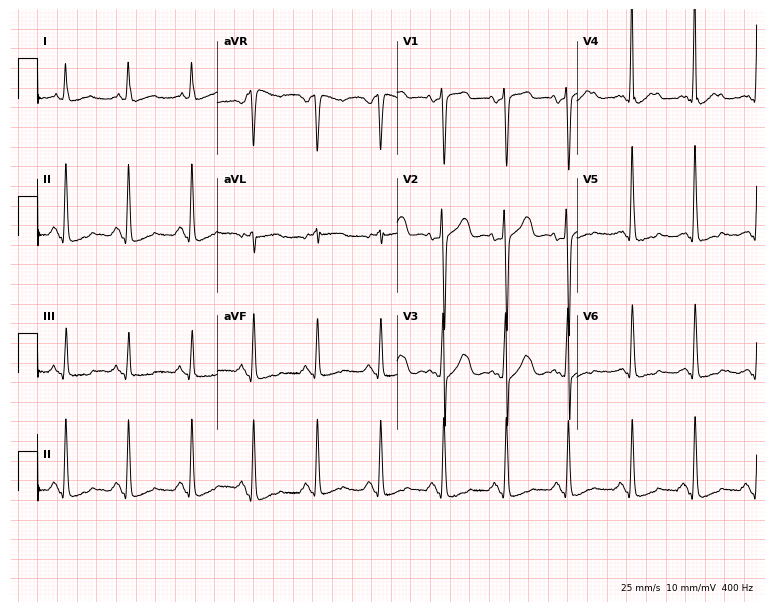
12-lead ECG from a 60-year-old woman. Screened for six findings — first-degree AV block, right bundle branch block, left bundle branch block, sinus bradycardia, atrial fibrillation, sinus tachycardia — none is recorded. Other findings, if any, are not listed.